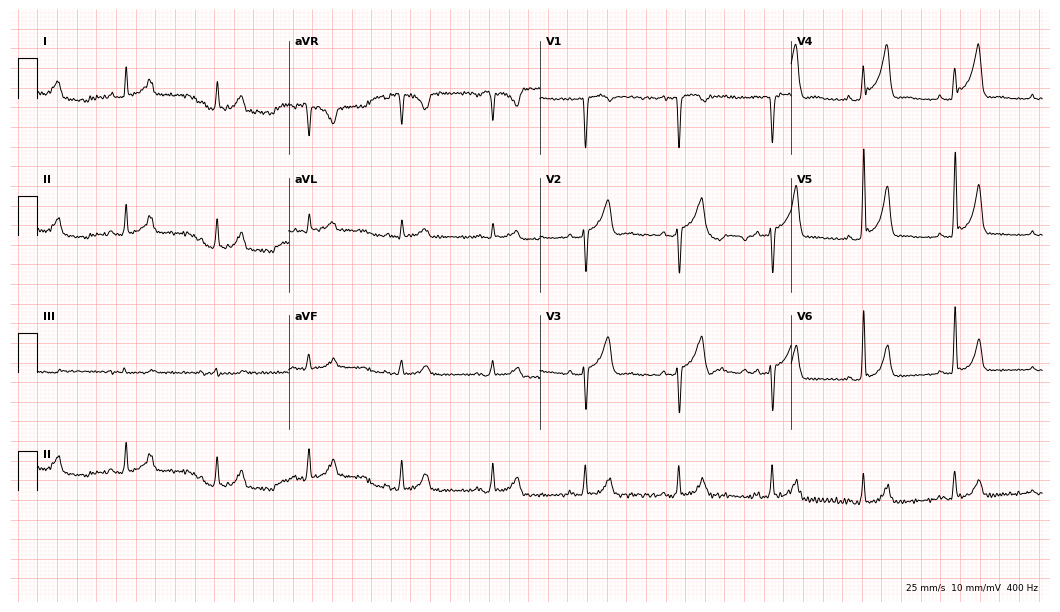
Standard 12-lead ECG recorded from a 53-year-old male patient (10.2-second recording at 400 Hz). None of these six findings is recorded: first-degree AV block, right bundle branch block, left bundle branch block, sinus bradycardia, atrial fibrillation, sinus tachycardia. Other findings, if any, are not listed.